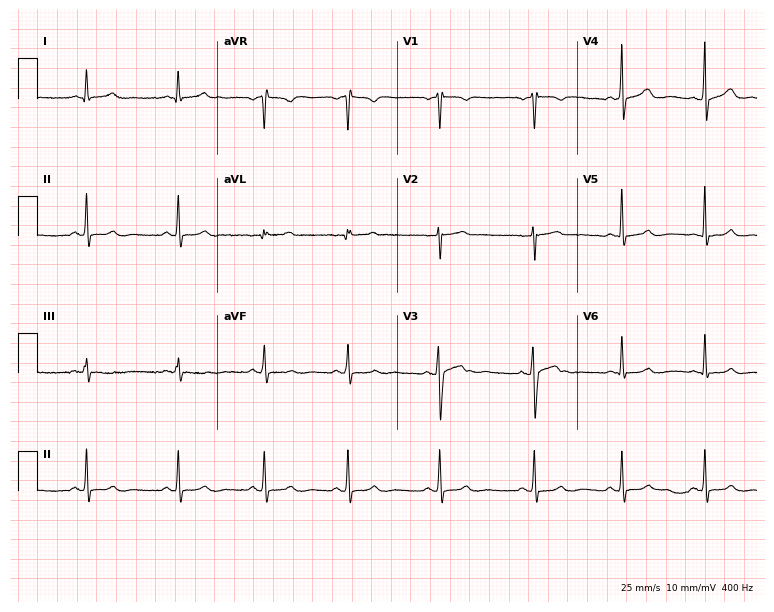
12-lead ECG from a 47-year-old female. Recorded interpretation: within normal limits.